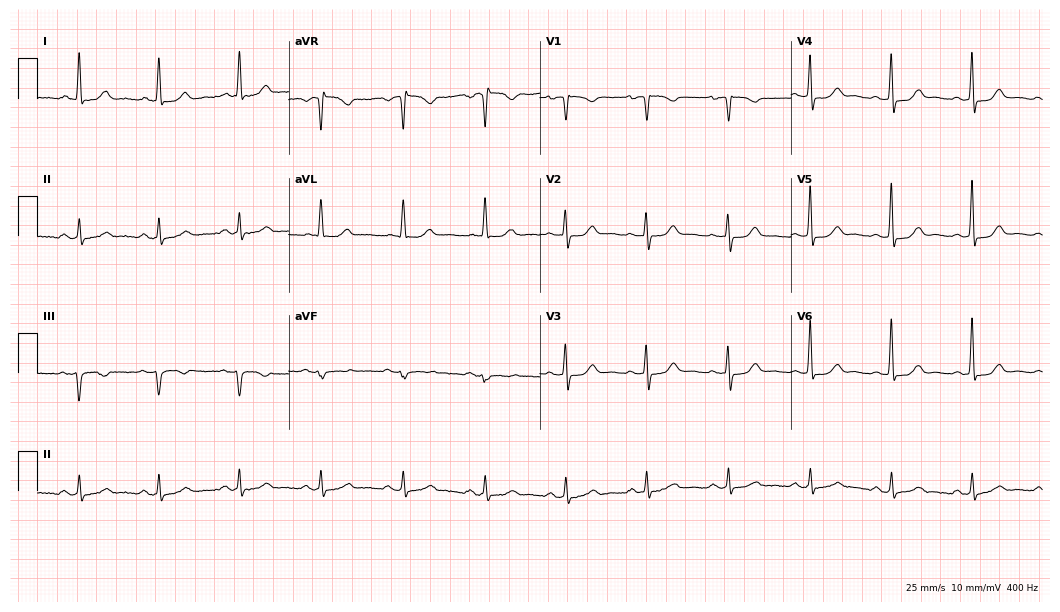
ECG (10.2-second recording at 400 Hz) — a 58-year-old woman. Screened for six findings — first-degree AV block, right bundle branch block, left bundle branch block, sinus bradycardia, atrial fibrillation, sinus tachycardia — none is recorded.